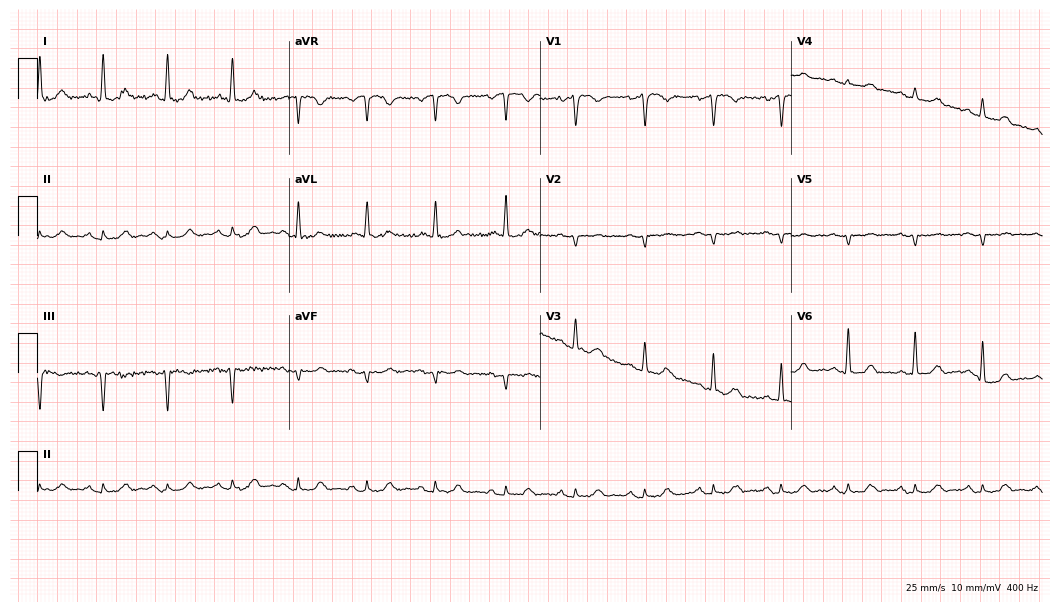
12-lead ECG (10.2-second recording at 400 Hz) from a male, 70 years old. Screened for six findings — first-degree AV block, right bundle branch block (RBBB), left bundle branch block (LBBB), sinus bradycardia, atrial fibrillation (AF), sinus tachycardia — none is recorded.